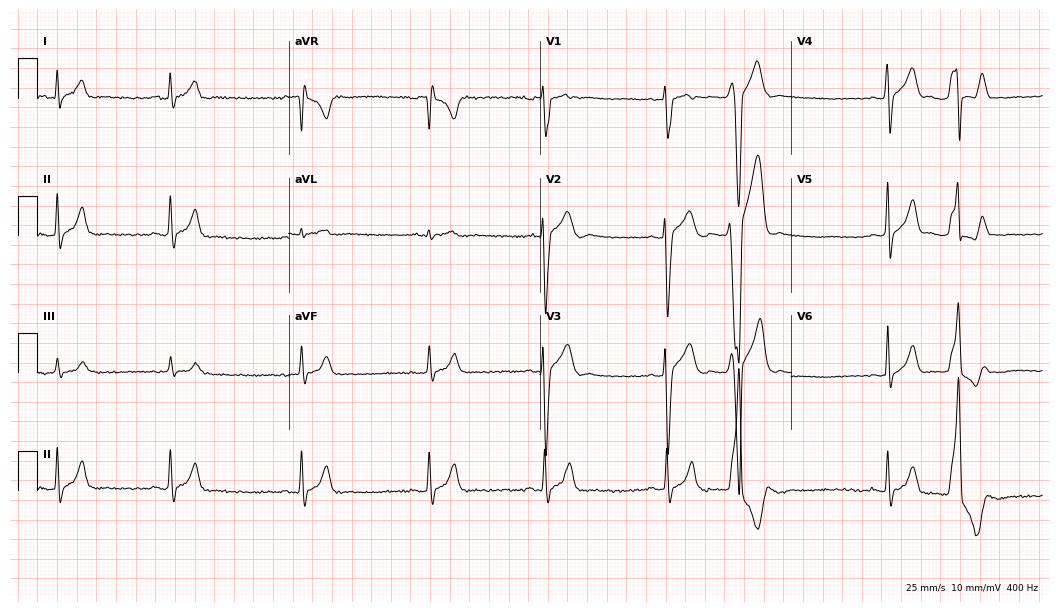
Electrocardiogram, a 17-year-old male. Of the six screened findings (first-degree AV block, right bundle branch block, left bundle branch block, sinus bradycardia, atrial fibrillation, sinus tachycardia), none is recorded.